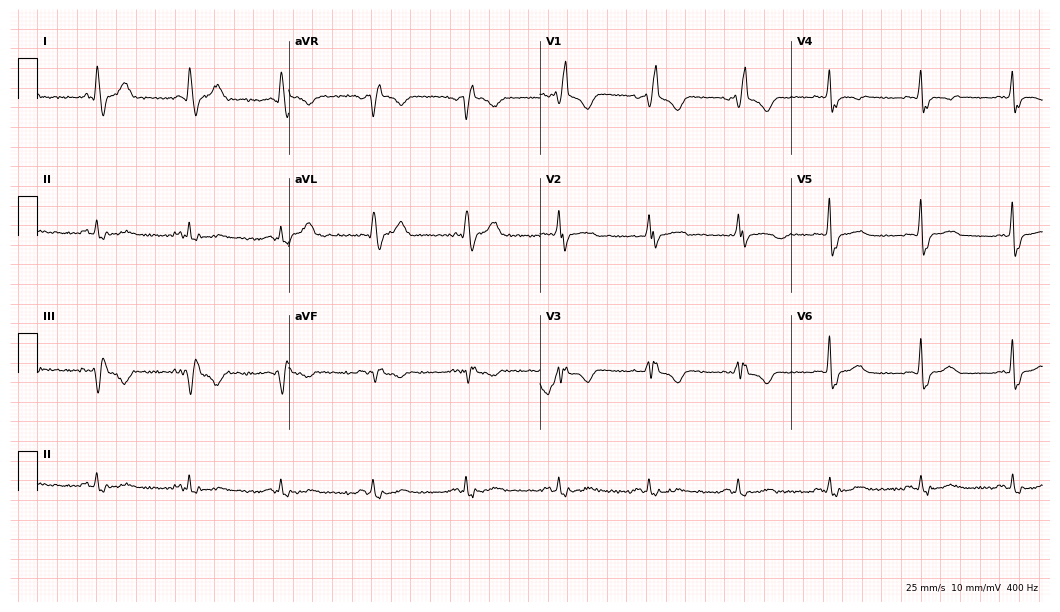
ECG (10.2-second recording at 400 Hz) — a female patient, 64 years old. Findings include right bundle branch block.